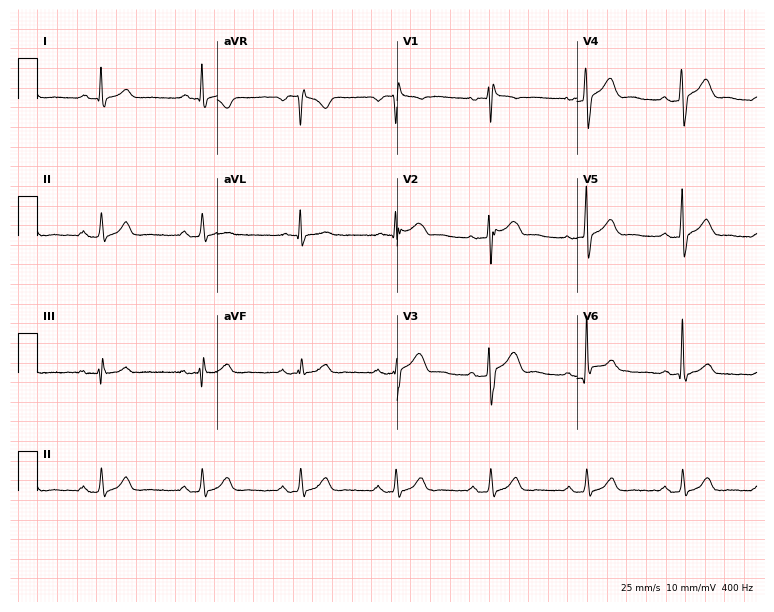
Electrocardiogram, a man, 37 years old. Overall reading on record: normal ECG.